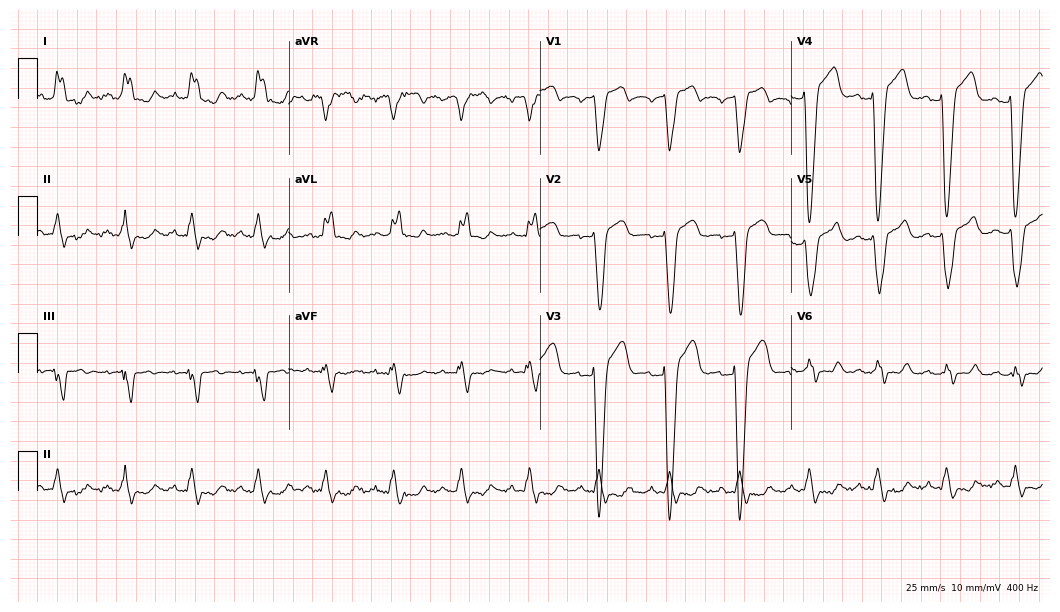
12-lead ECG from a male patient, 56 years old. Shows left bundle branch block (LBBB).